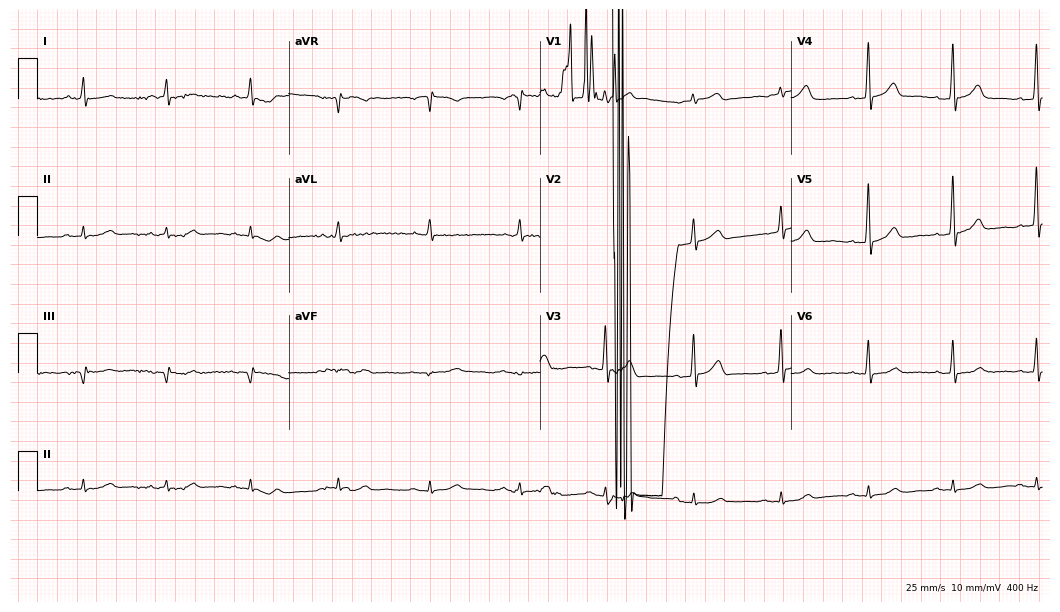
Electrocardiogram (10.2-second recording at 400 Hz), a man, 64 years old. Of the six screened findings (first-degree AV block, right bundle branch block (RBBB), left bundle branch block (LBBB), sinus bradycardia, atrial fibrillation (AF), sinus tachycardia), none is recorded.